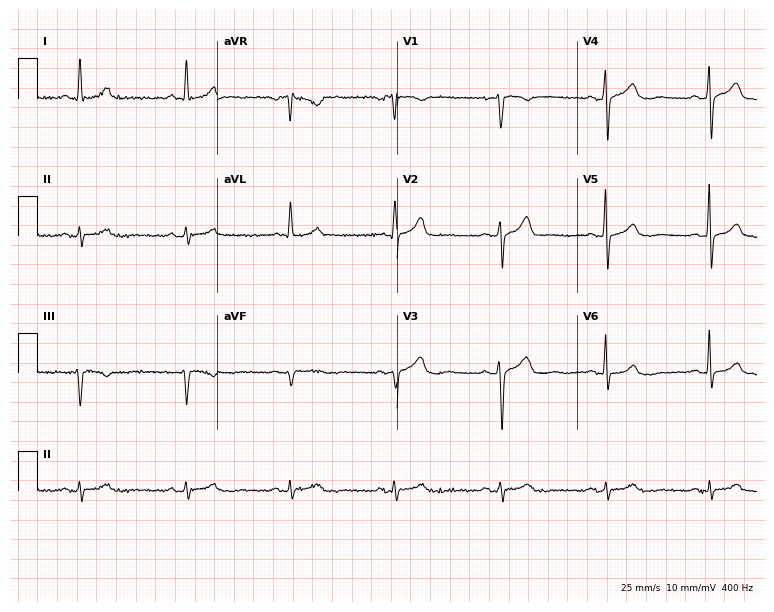
12-lead ECG from a 61-year-old male patient. Labelled as a normal ECG.